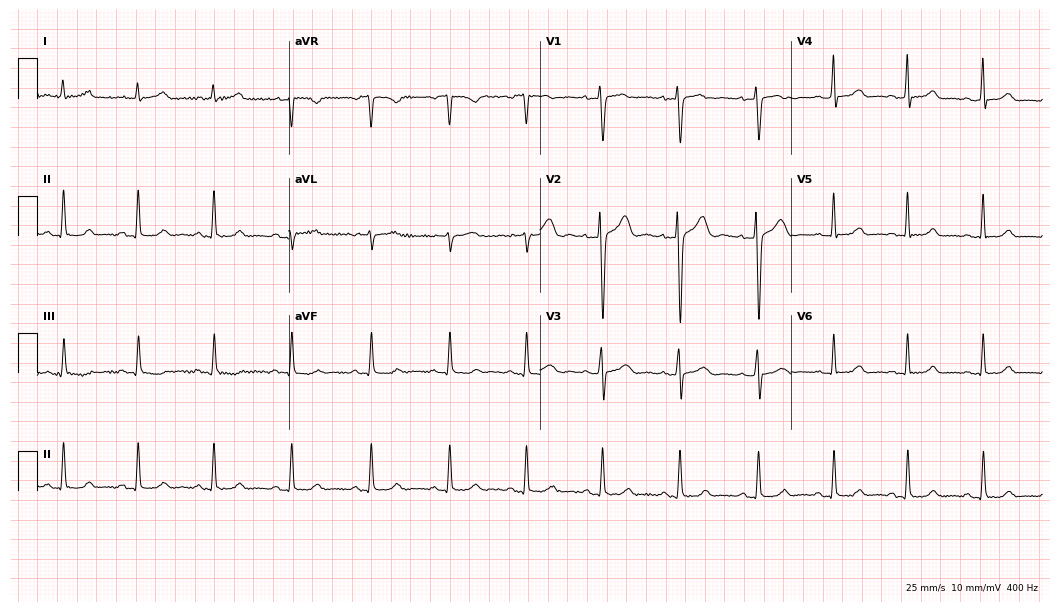
12-lead ECG from a female, 26 years old. Recorded interpretation: within normal limits.